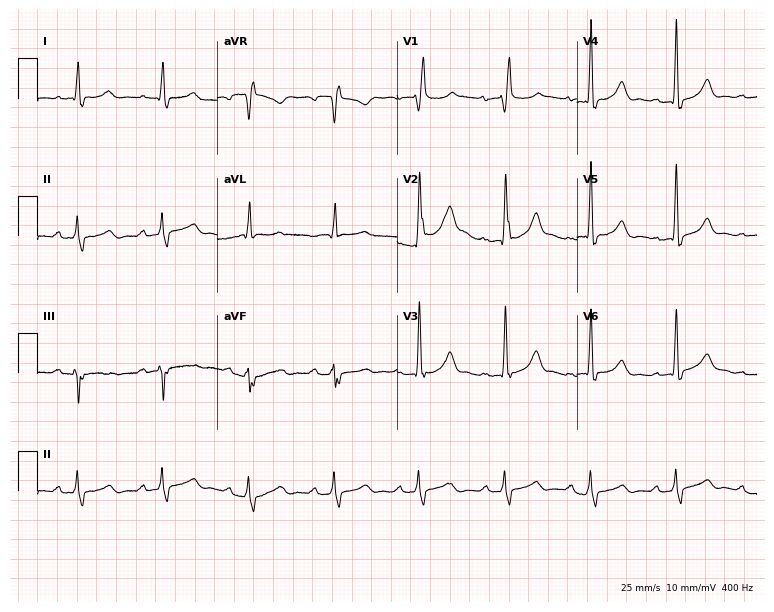
12-lead ECG from a 63-year-old woman. Findings include right bundle branch block (RBBB).